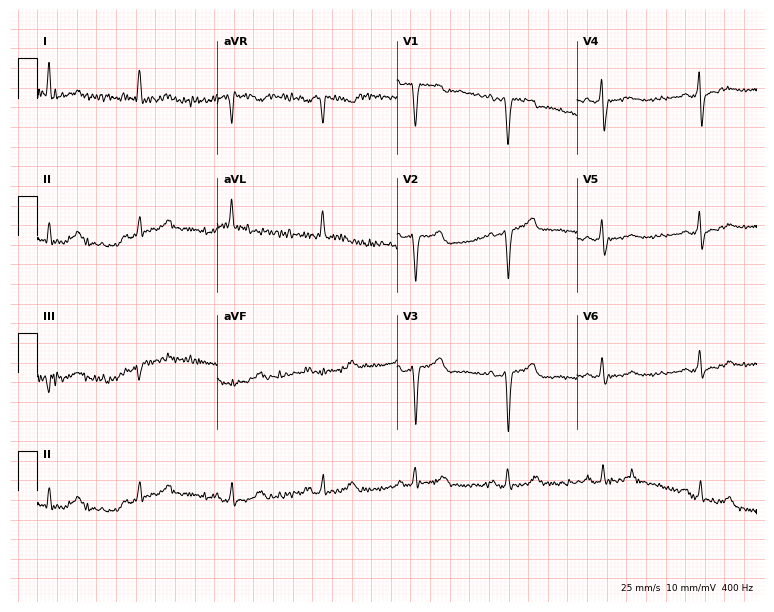
12-lead ECG from a female patient, 57 years old (7.3-second recording at 400 Hz). No first-degree AV block, right bundle branch block, left bundle branch block, sinus bradycardia, atrial fibrillation or sinus tachycardia recorded for this tracing.